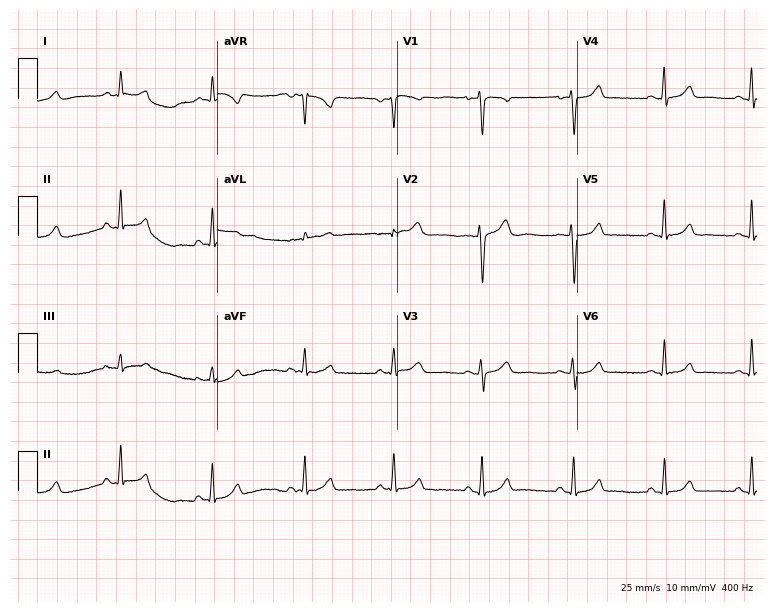
12-lead ECG (7.3-second recording at 400 Hz) from a 31-year-old female. Labelled as a normal ECG.